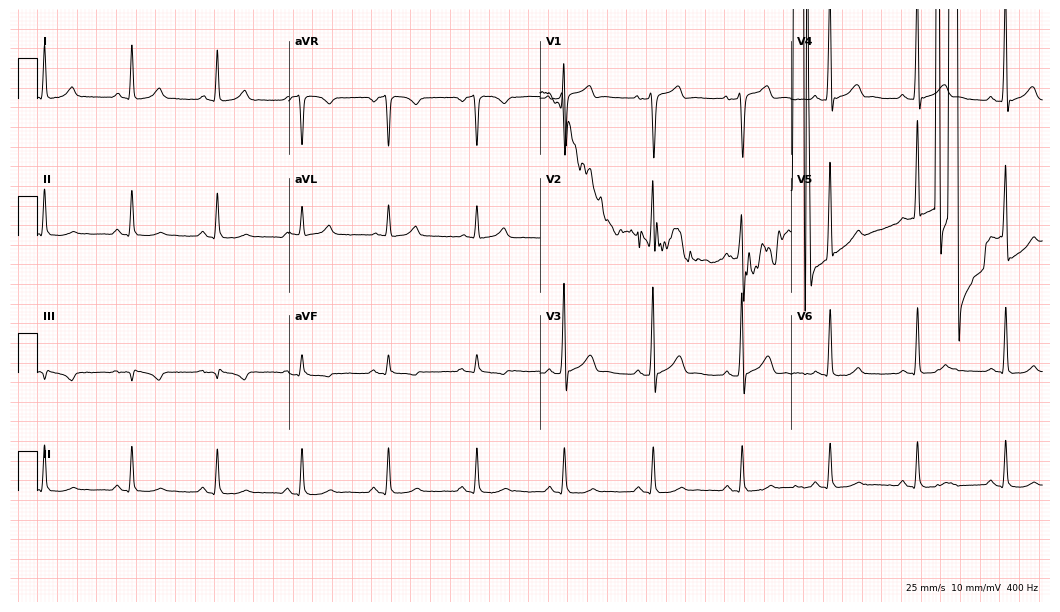
12-lead ECG from a 57-year-old male. Screened for six findings — first-degree AV block, right bundle branch block, left bundle branch block, sinus bradycardia, atrial fibrillation, sinus tachycardia — none is recorded.